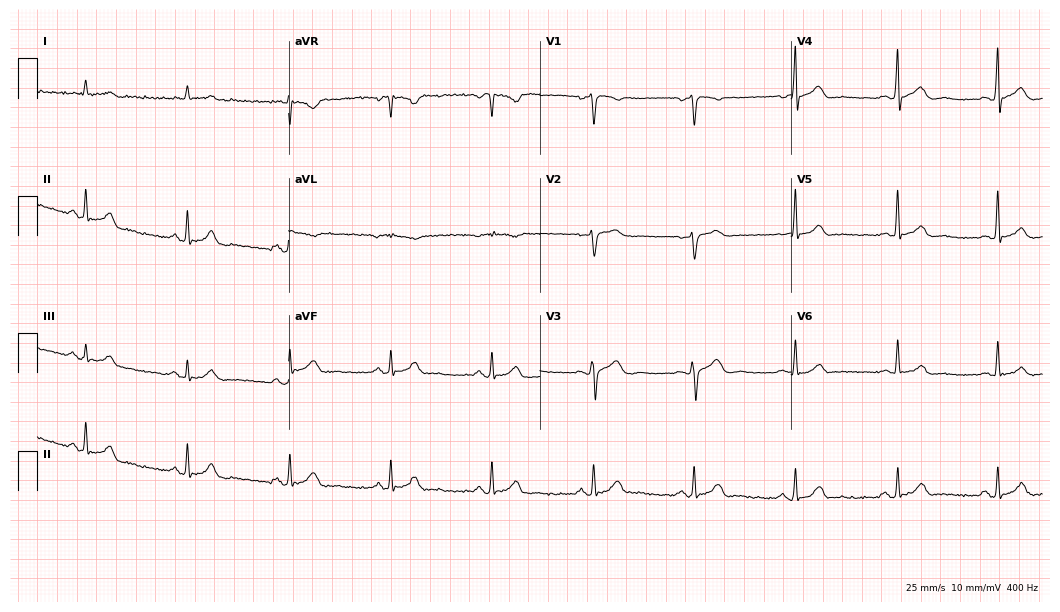
Standard 12-lead ECG recorded from a 68-year-old male (10.2-second recording at 400 Hz). Read as a normal ECG.